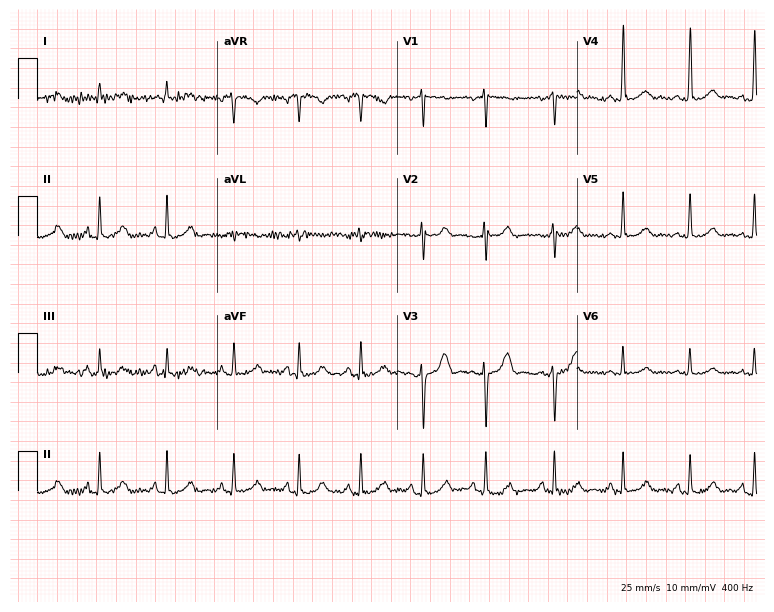
Electrocardiogram (7.3-second recording at 400 Hz), a woman, 27 years old. Overall reading on record: normal ECG.